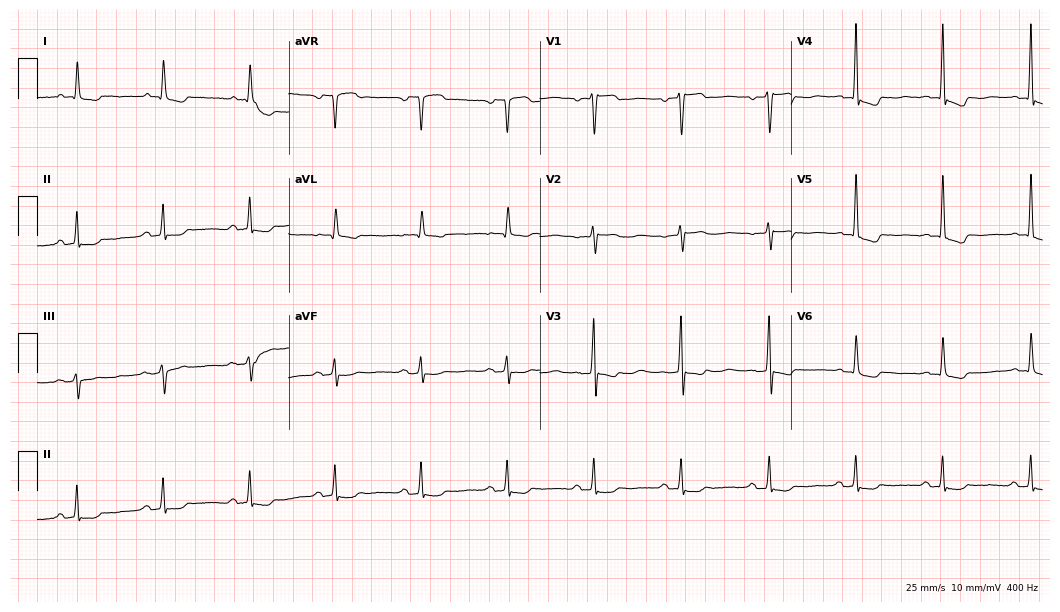
Resting 12-lead electrocardiogram. Patient: a female, 80 years old. None of these six findings is recorded: first-degree AV block, right bundle branch block, left bundle branch block, sinus bradycardia, atrial fibrillation, sinus tachycardia. Only these six findings were labelled.